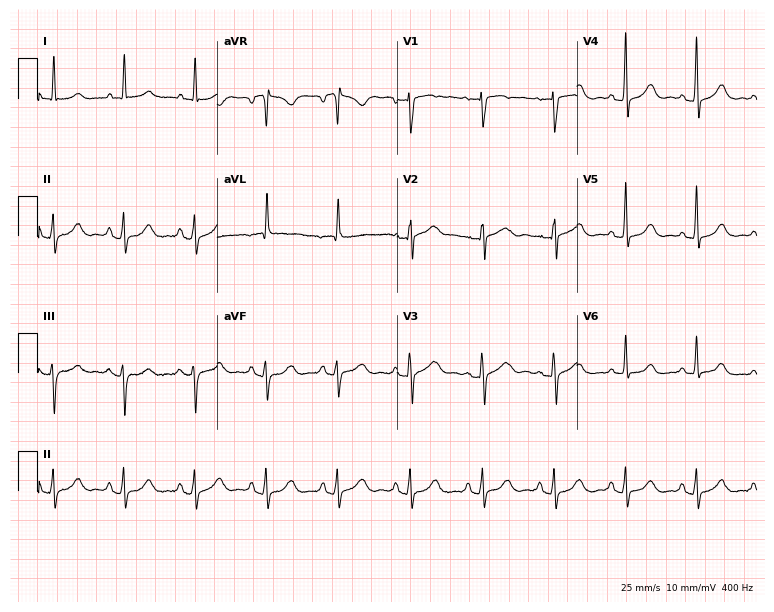
12-lead ECG from a 68-year-old female. Screened for six findings — first-degree AV block, right bundle branch block, left bundle branch block, sinus bradycardia, atrial fibrillation, sinus tachycardia — none is recorded. Only these six findings were labelled.